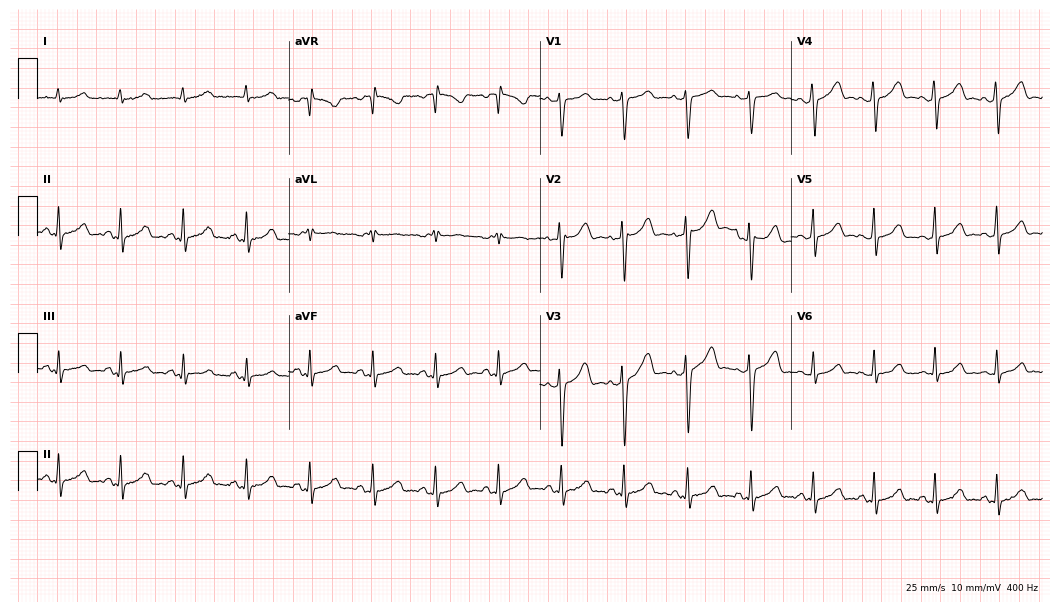
Resting 12-lead electrocardiogram (10.2-second recording at 400 Hz). Patient: a female, 27 years old. None of these six findings is recorded: first-degree AV block, right bundle branch block (RBBB), left bundle branch block (LBBB), sinus bradycardia, atrial fibrillation (AF), sinus tachycardia.